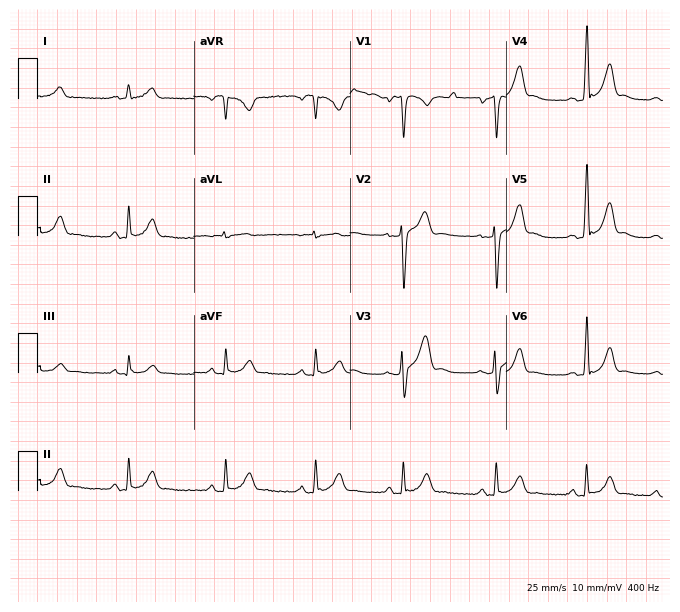
12-lead ECG (6.4-second recording at 400 Hz) from a male, 31 years old. Labelled as a normal ECG.